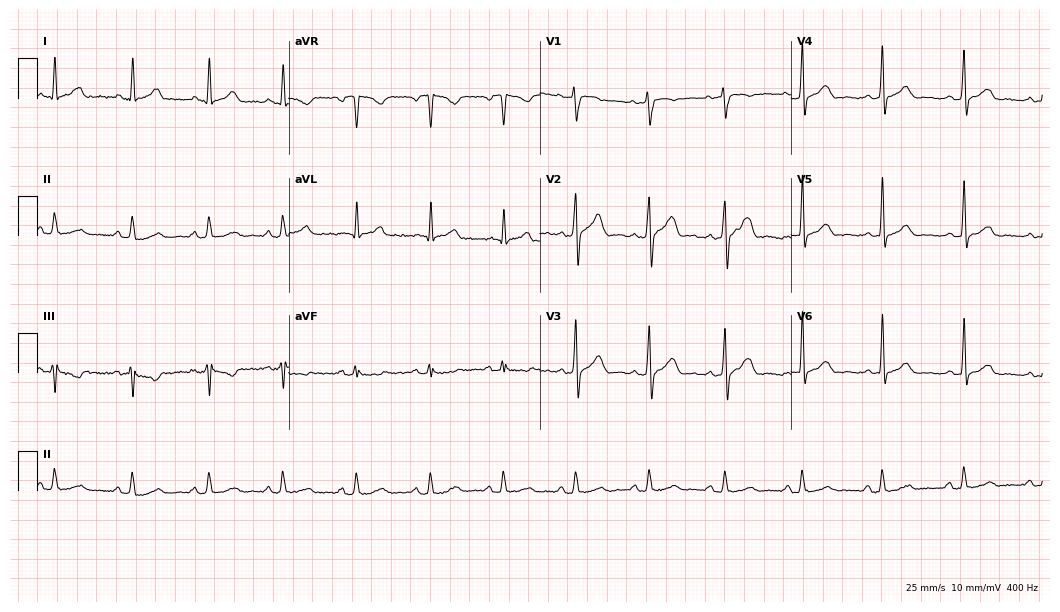
12-lead ECG from a 41-year-old male patient (10.2-second recording at 400 Hz). No first-degree AV block, right bundle branch block (RBBB), left bundle branch block (LBBB), sinus bradycardia, atrial fibrillation (AF) or sinus tachycardia recorded for this tracing.